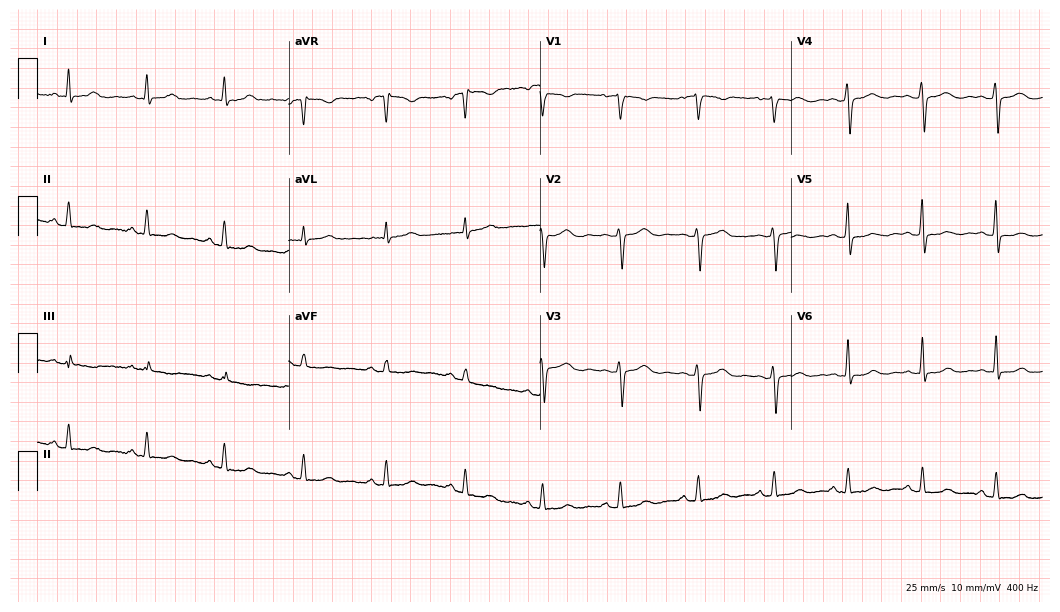
ECG (10.2-second recording at 400 Hz) — a female, 42 years old. Screened for six findings — first-degree AV block, right bundle branch block, left bundle branch block, sinus bradycardia, atrial fibrillation, sinus tachycardia — none is recorded.